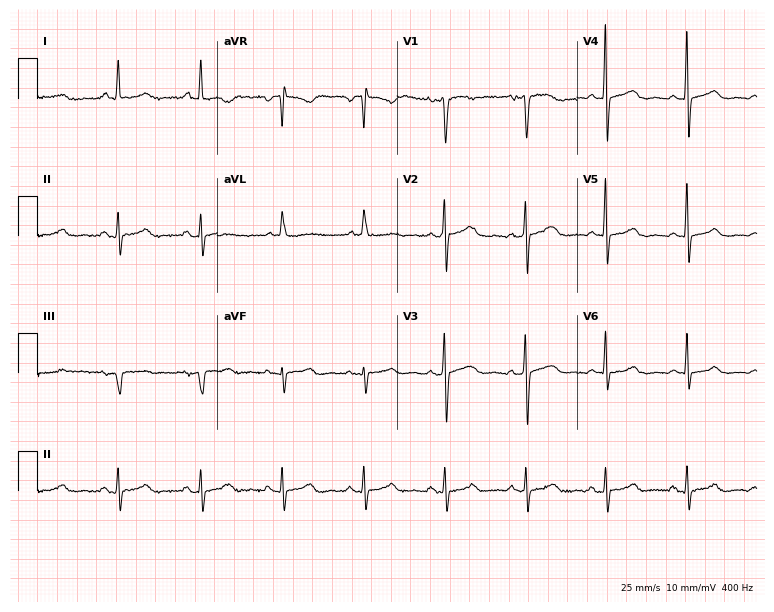
Resting 12-lead electrocardiogram (7.3-second recording at 400 Hz). Patient: a 59-year-old female. Read as a normal ECG.